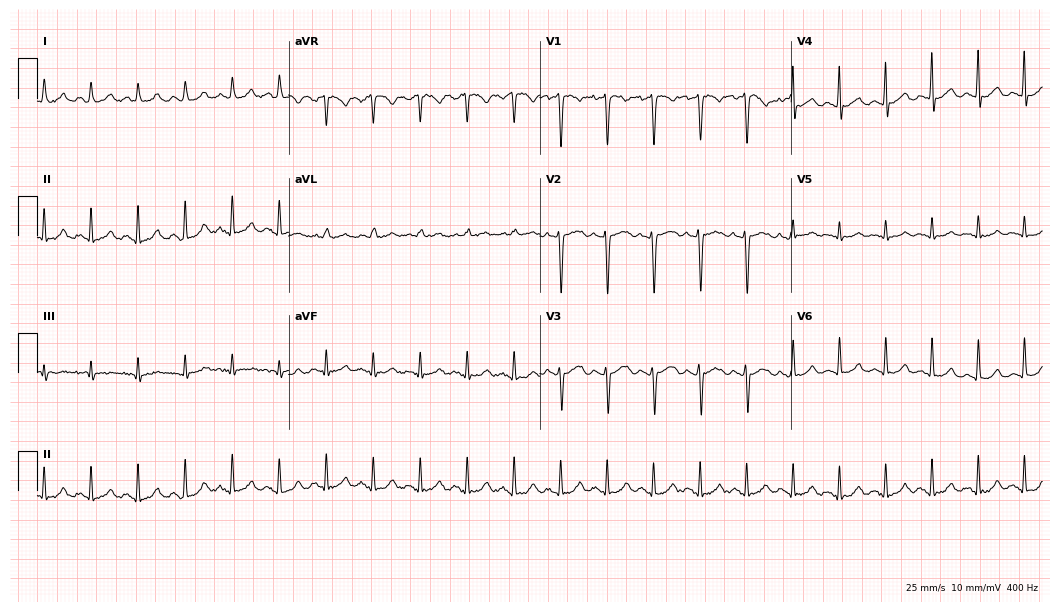
Resting 12-lead electrocardiogram (10.2-second recording at 400 Hz). Patient: a female, 36 years old. The tracing shows sinus tachycardia (a sinus rate of 100 beats per minute or more).